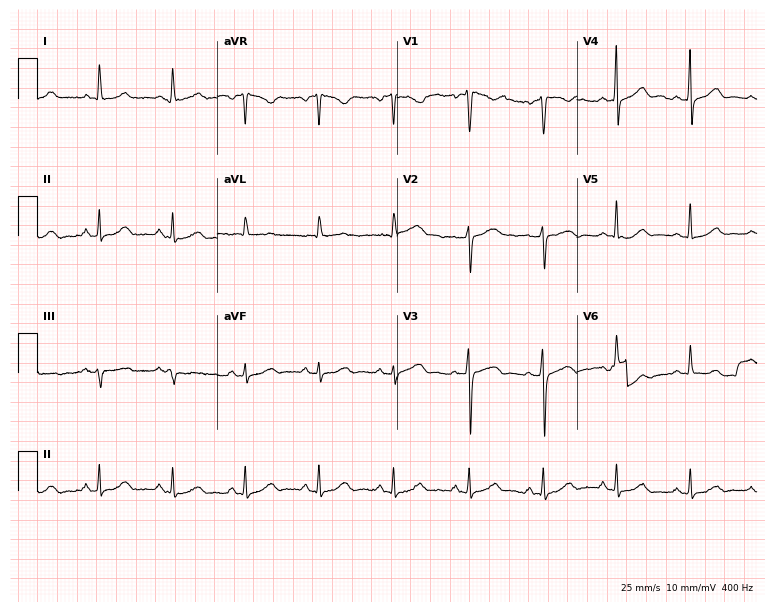
12-lead ECG from a female patient, 40 years old. Labelled as a normal ECG.